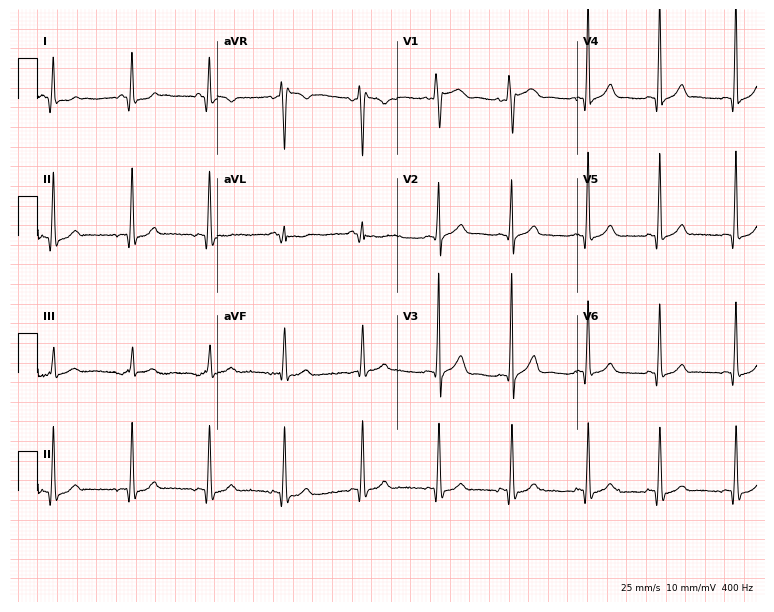
12-lead ECG from a male, 23 years old (7.3-second recording at 400 Hz). No first-degree AV block, right bundle branch block, left bundle branch block, sinus bradycardia, atrial fibrillation or sinus tachycardia recorded for this tracing.